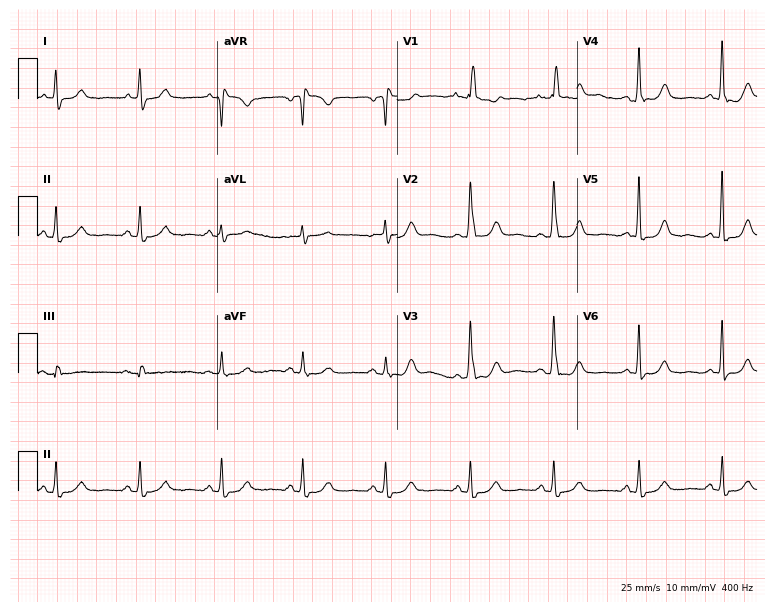
12-lead ECG from a 58-year-old female (7.3-second recording at 400 Hz). No first-degree AV block, right bundle branch block, left bundle branch block, sinus bradycardia, atrial fibrillation or sinus tachycardia recorded for this tracing.